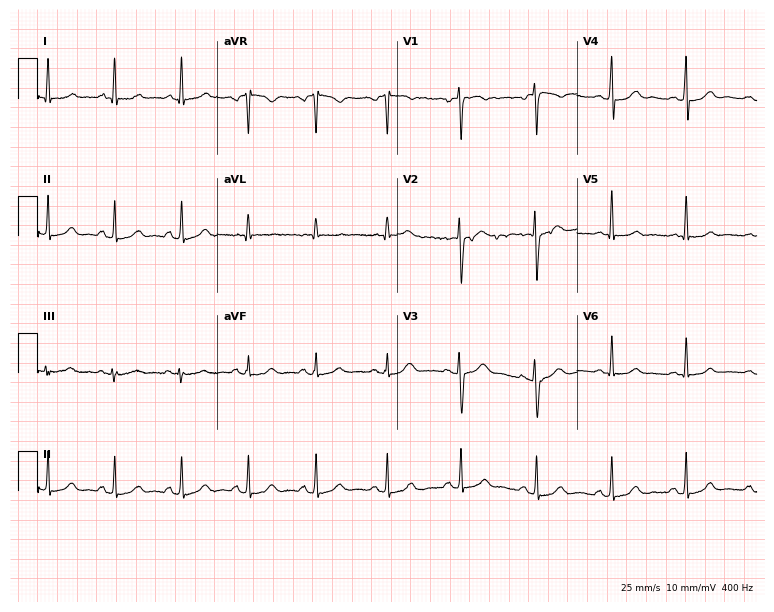
Resting 12-lead electrocardiogram. Patient: a 45-year-old female. Read as a normal ECG.